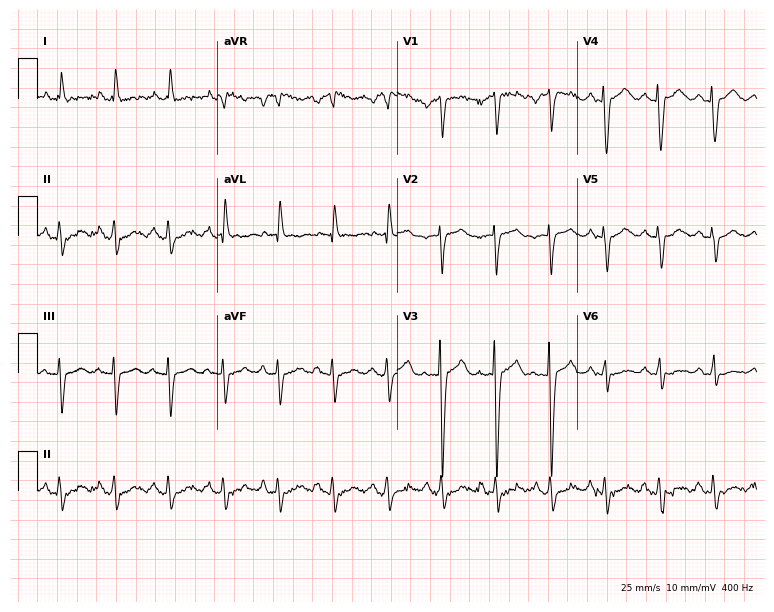
12-lead ECG (7.3-second recording at 400 Hz) from a female patient, 60 years old. Findings include sinus tachycardia (a sinus rate of 100 beats per minute or more).